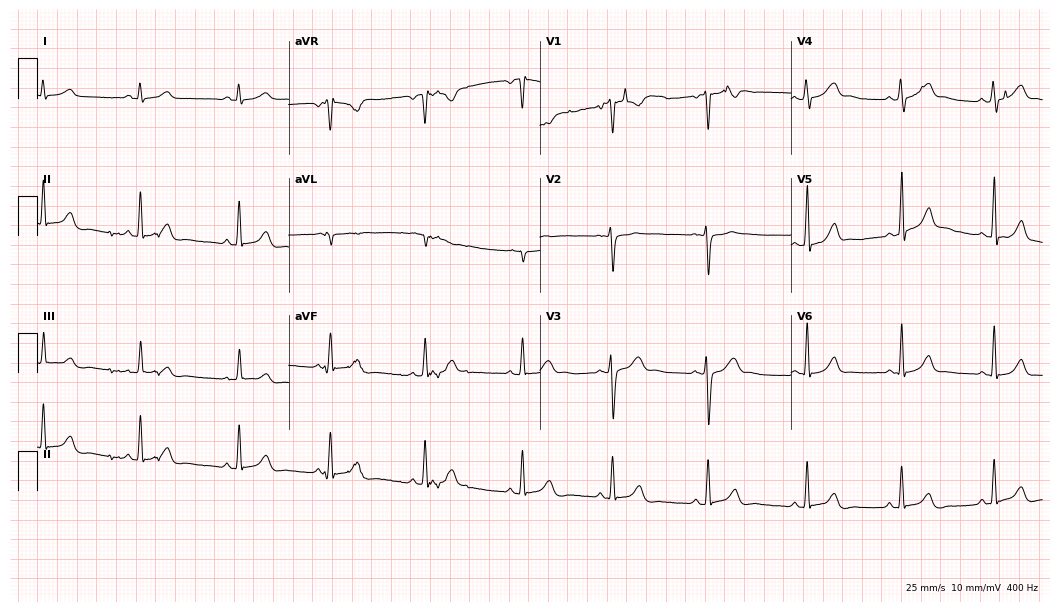
12-lead ECG from a woman, 18 years old. Labelled as a normal ECG.